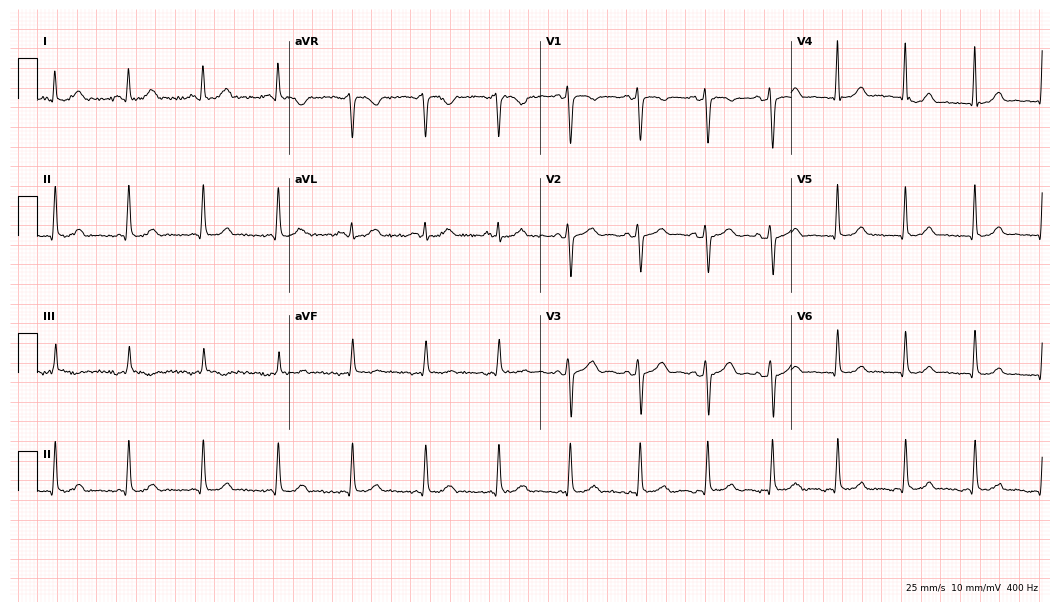
12-lead ECG (10.2-second recording at 400 Hz) from a female patient, 46 years old. Screened for six findings — first-degree AV block, right bundle branch block, left bundle branch block, sinus bradycardia, atrial fibrillation, sinus tachycardia — none is recorded. Other findings, if any, are not listed.